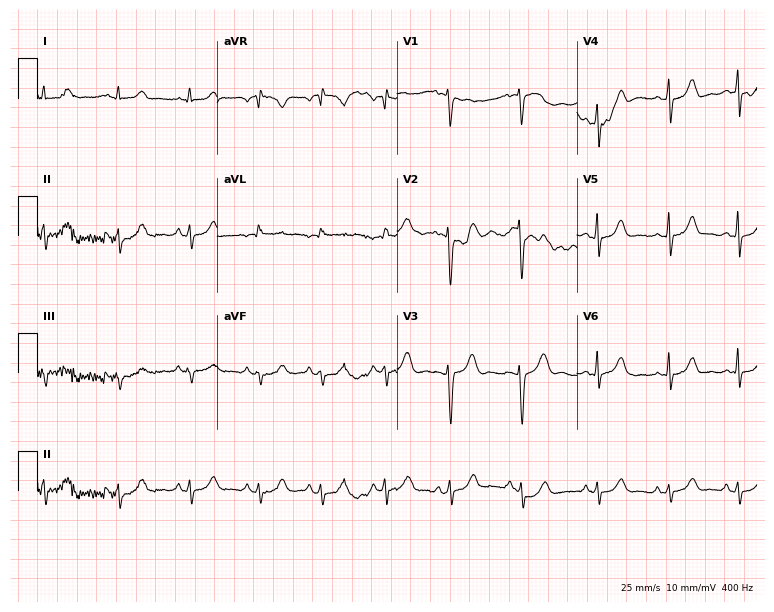
Electrocardiogram (7.3-second recording at 400 Hz), a female patient, 58 years old. Of the six screened findings (first-degree AV block, right bundle branch block (RBBB), left bundle branch block (LBBB), sinus bradycardia, atrial fibrillation (AF), sinus tachycardia), none is recorded.